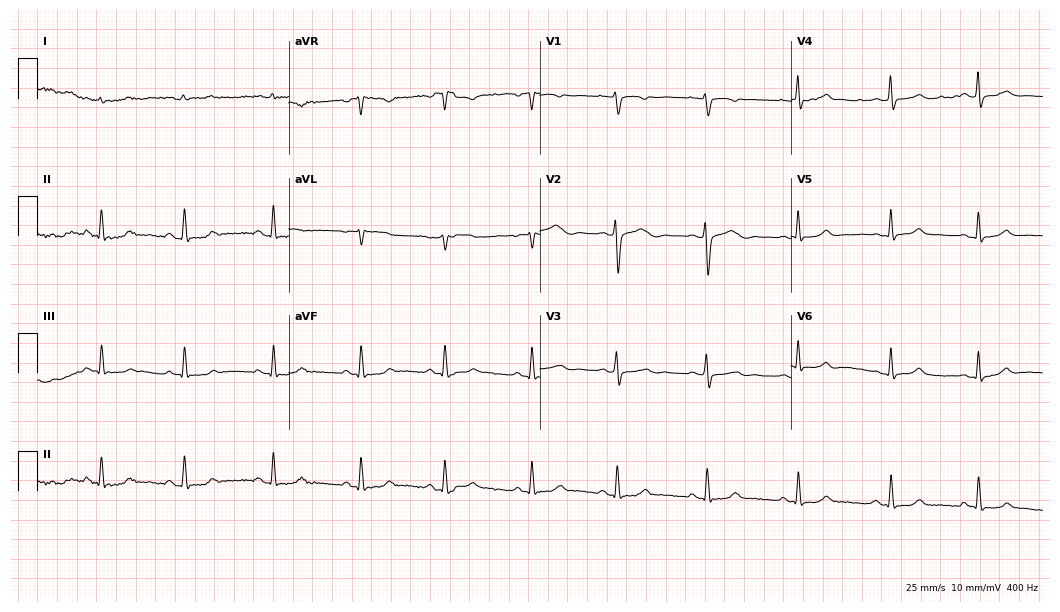
ECG — a woman, 38 years old. Labelled as a normal ECG.